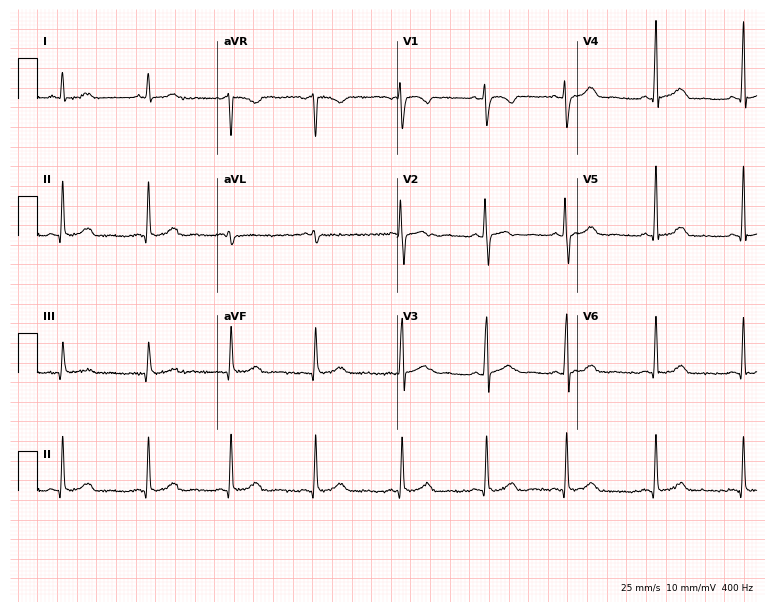
12-lead ECG from a female patient, 44 years old (7.3-second recording at 400 Hz). No first-degree AV block, right bundle branch block (RBBB), left bundle branch block (LBBB), sinus bradycardia, atrial fibrillation (AF) or sinus tachycardia recorded for this tracing.